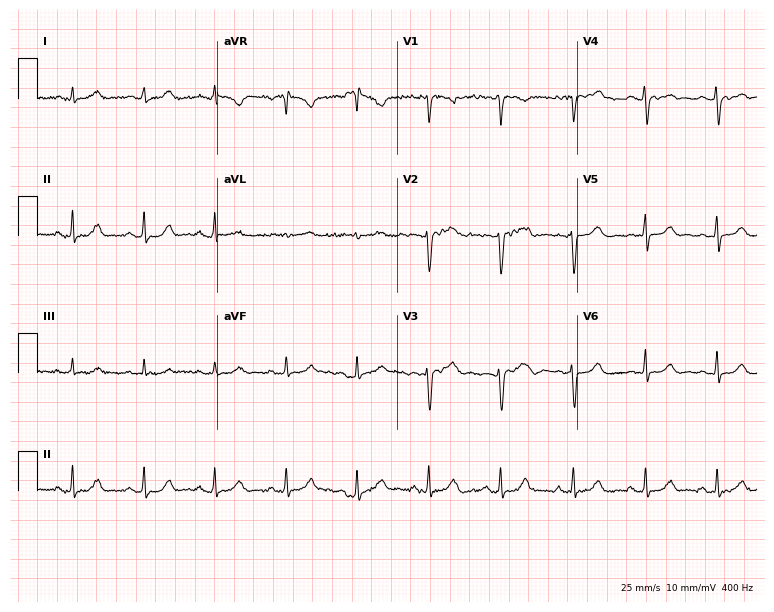
12-lead ECG from a female, 34 years old. Labelled as a normal ECG.